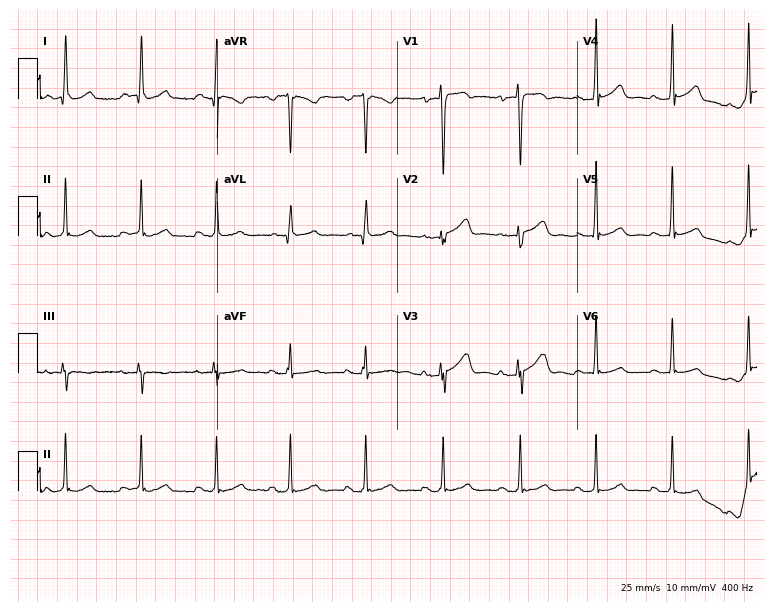
Electrocardiogram, a 50-year-old man. Overall reading on record: normal ECG.